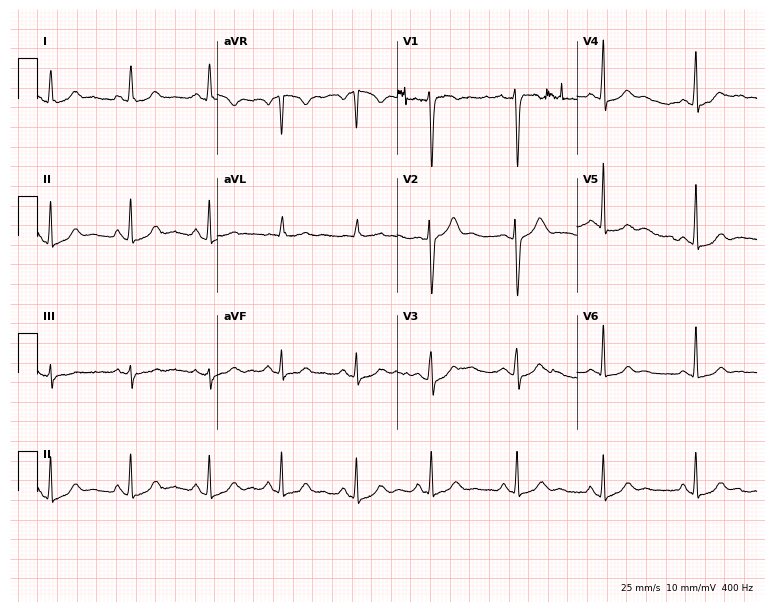
12-lead ECG (7.3-second recording at 400 Hz) from a 26-year-old female. Labelled as a normal ECG.